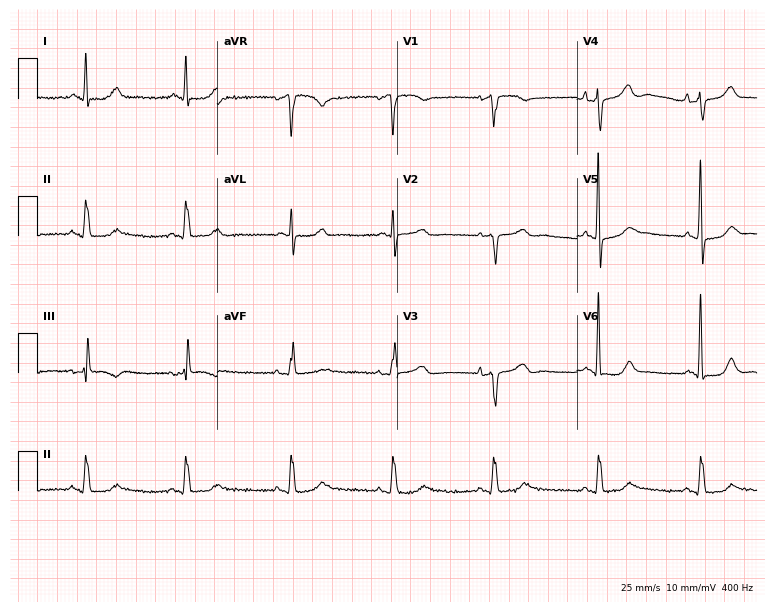
12-lead ECG from a female patient, 76 years old. No first-degree AV block, right bundle branch block (RBBB), left bundle branch block (LBBB), sinus bradycardia, atrial fibrillation (AF) or sinus tachycardia recorded for this tracing.